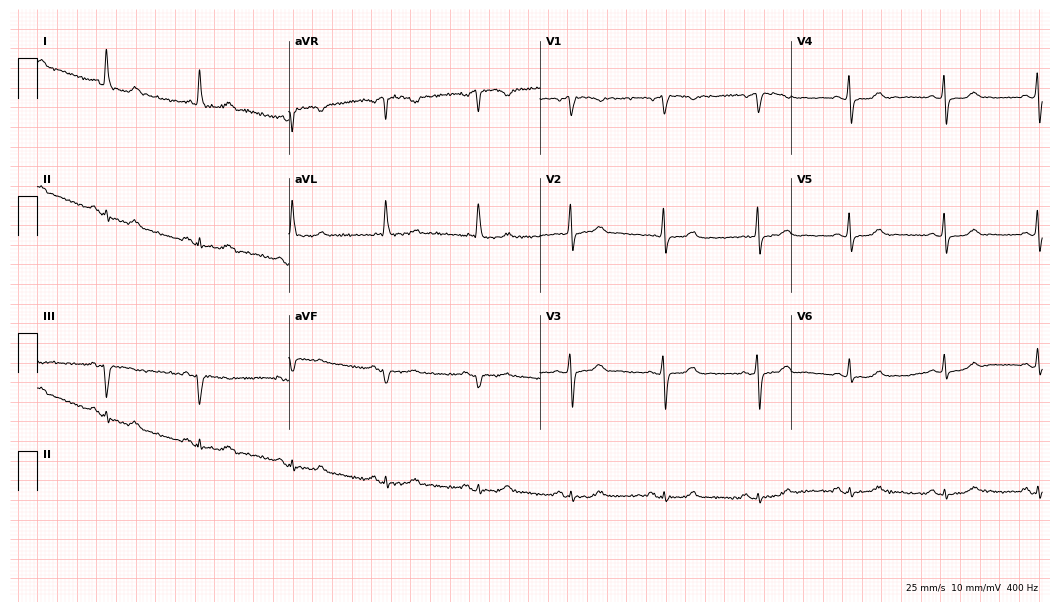
Resting 12-lead electrocardiogram. Patient: a female, 76 years old. None of these six findings is recorded: first-degree AV block, right bundle branch block (RBBB), left bundle branch block (LBBB), sinus bradycardia, atrial fibrillation (AF), sinus tachycardia.